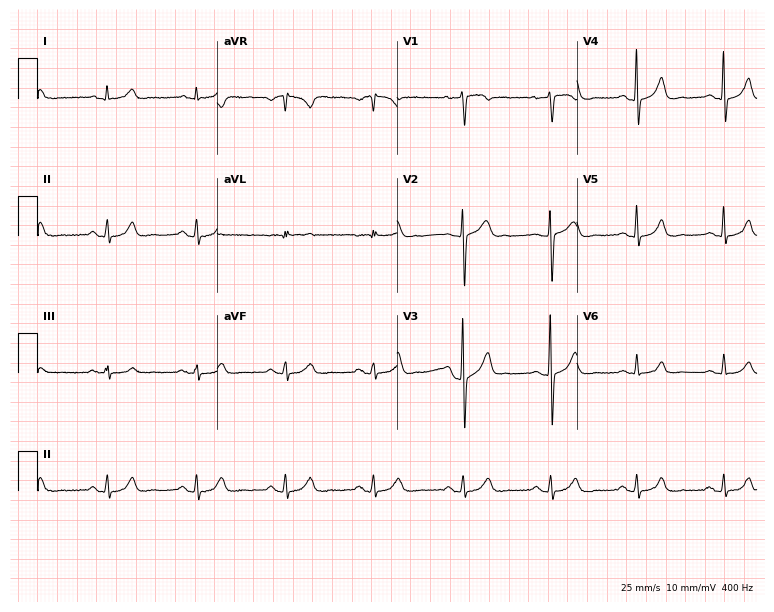
Standard 12-lead ECG recorded from a man, 48 years old. Read as a normal ECG.